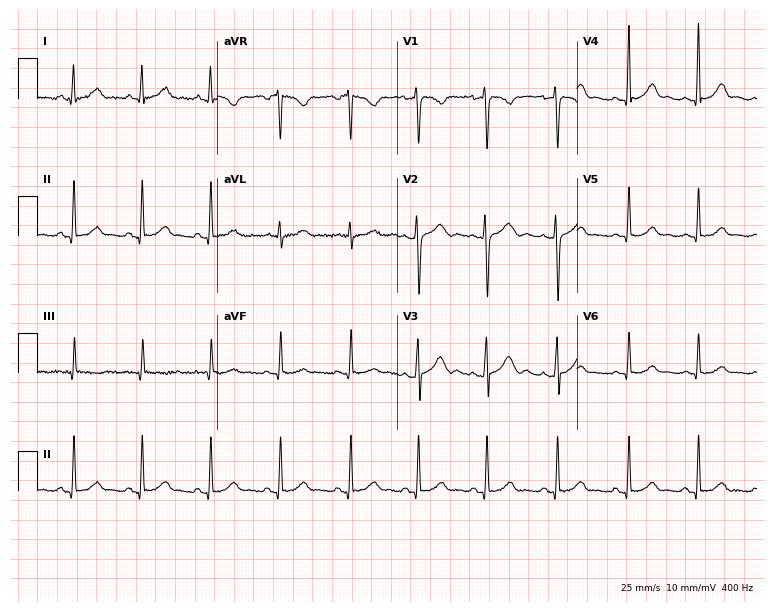
Resting 12-lead electrocardiogram. Patient: a 26-year-old female. None of these six findings is recorded: first-degree AV block, right bundle branch block, left bundle branch block, sinus bradycardia, atrial fibrillation, sinus tachycardia. Only these six findings were labelled.